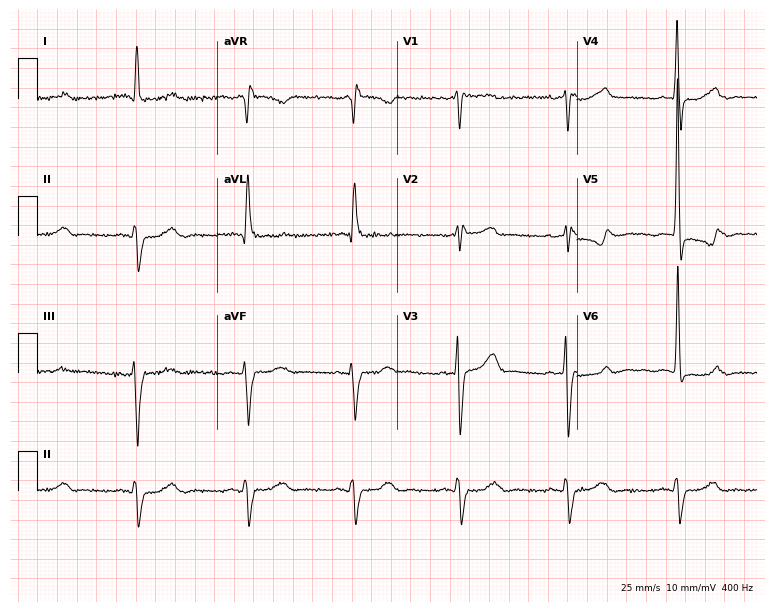
12-lead ECG (7.3-second recording at 400 Hz) from a man, 61 years old. Screened for six findings — first-degree AV block, right bundle branch block, left bundle branch block, sinus bradycardia, atrial fibrillation, sinus tachycardia — none is recorded.